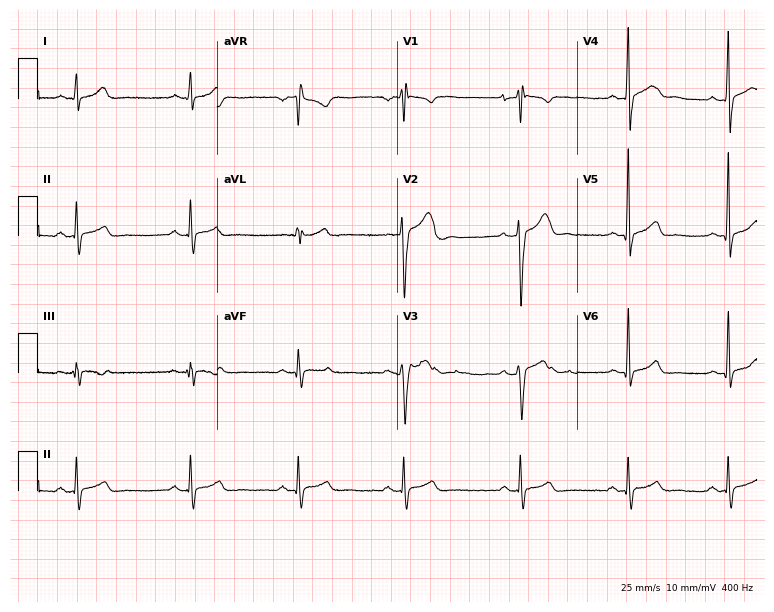
Standard 12-lead ECG recorded from a 23-year-old male (7.3-second recording at 400 Hz). None of these six findings is recorded: first-degree AV block, right bundle branch block (RBBB), left bundle branch block (LBBB), sinus bradycardia, atrial fibrillation (AF), sinus tachycardia.